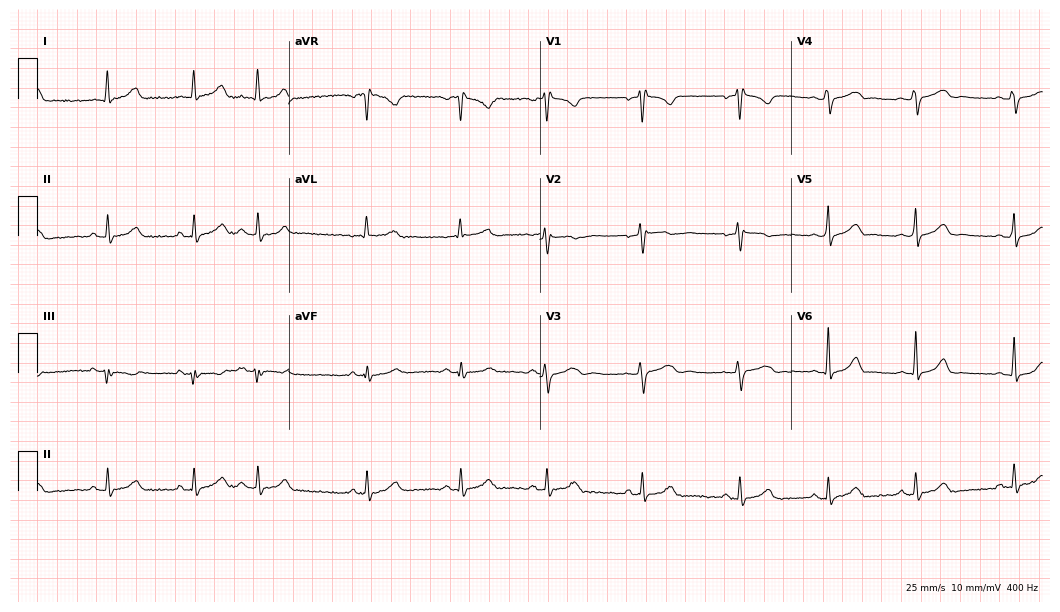
12-lead ECG from a woman, 29 years old. Screened for six findings — first-degree AV block, right bundle branch block, left bundle branch block, sinus bradycardia, atrial fibrillation, sinus tachycardia — none is recorded. Only these six findings were labelled.